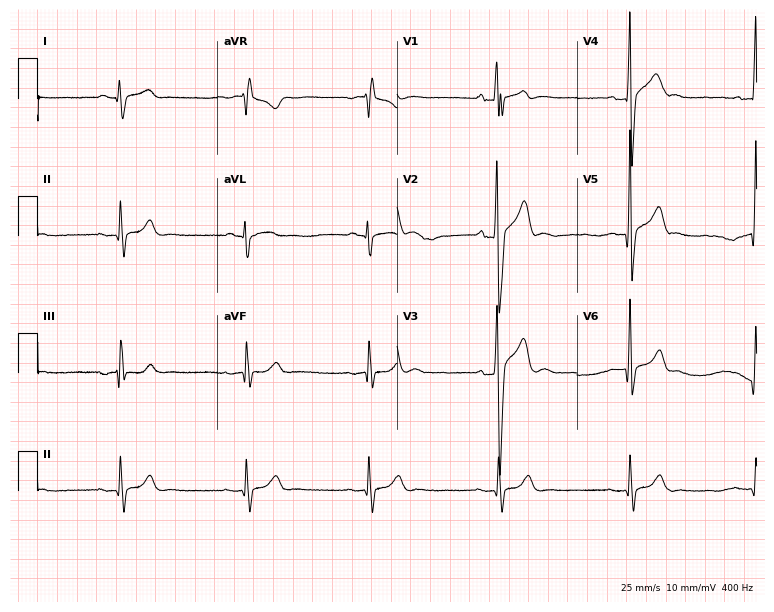
ECG — a 25-year-old male patient. Findings include sinus bradycardia (a sinus rate of 50 beats per minute or less).